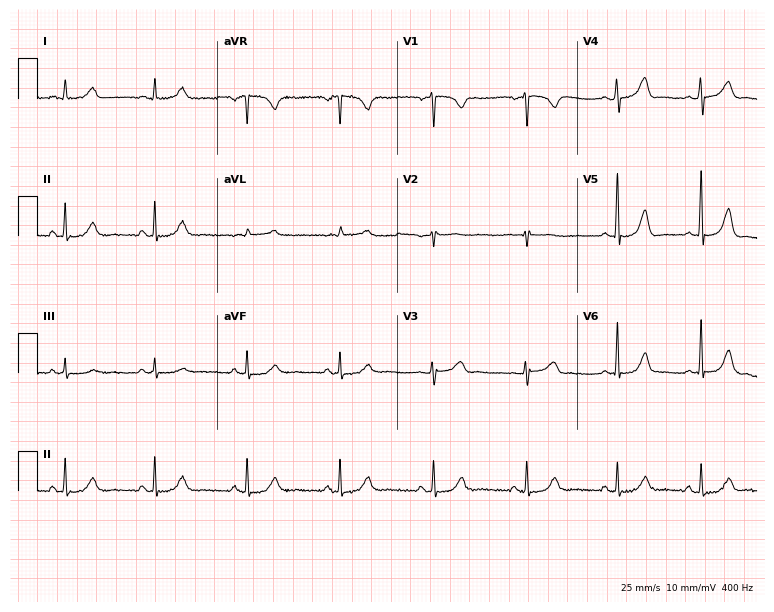
12-lead ECG from a 45-year-old female patient (7.3-second recording at 400 Hz). No first-degree AV block, right bundle branch block (RBBB), left bundle branch block (LBBB), sinus bradycardia, atrial fibrillation (AF) or sinus tachycardia recorded for this tracing. Only these six findings were labelled.